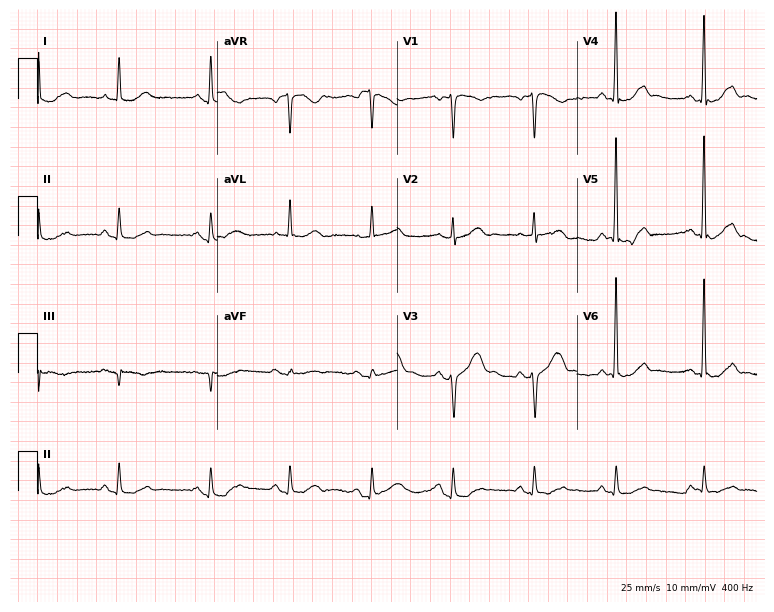
12-lead ECG from a 77-year-old man. No first-degree AV block, right bundle branch block (RBBB), left bundle branch block (LBBB), sinus bradycardia, atrial fibrillation (AF) or sinus tachycardia recorded for this tracing.